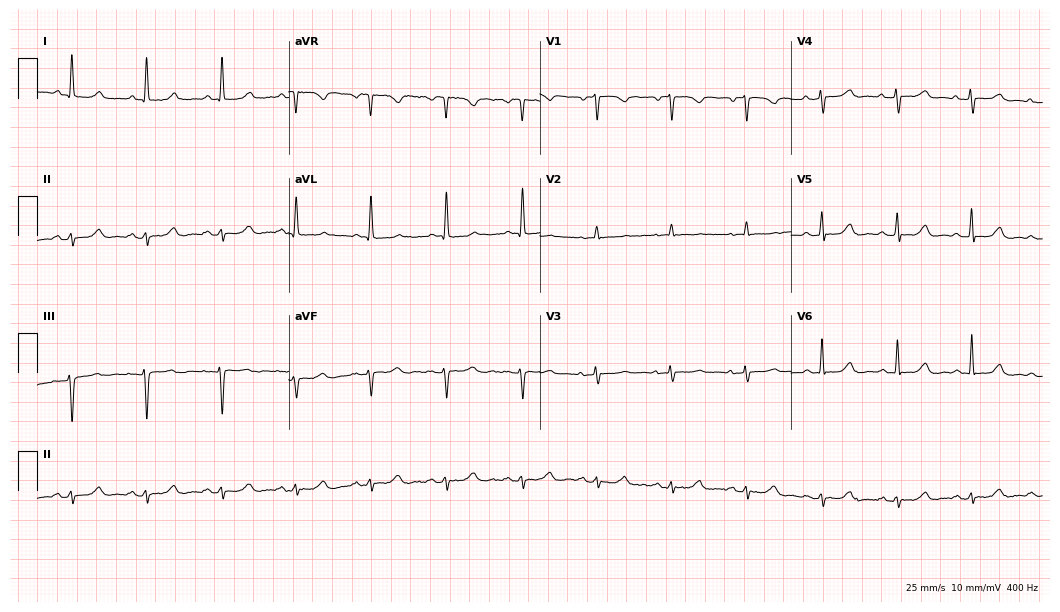
12-lead ECG from a 75-year-old female. Screened for six findings — first-degree AV block, right bundle branch block, left bundle branch block, sinus bradycardia, atrial fibrillation, sinus tachycardia — none is recorded.